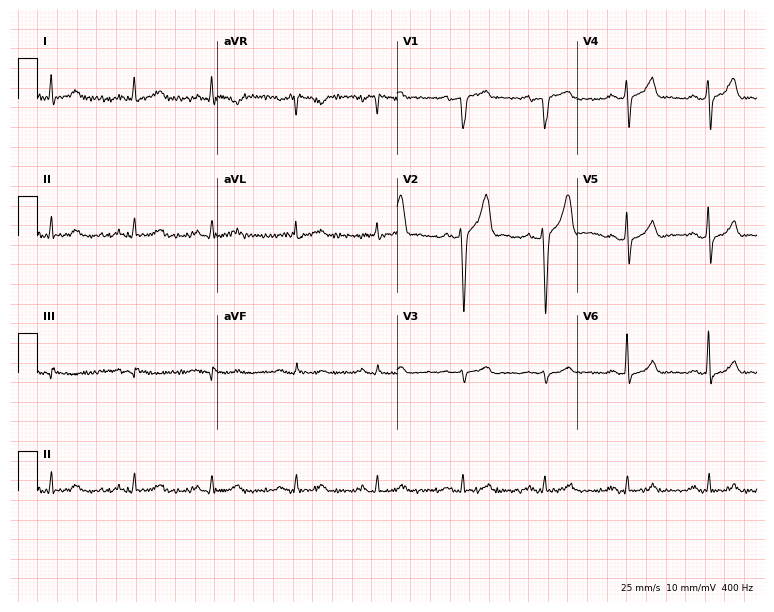
Resting 12-lead electrocardiogram (7.3-second recording at 400 Hz). Patient: a male, 75 years old. None of these six findings is recorded: first-degree AV block, right bundle branch block, left bundle branch block, sinus bradycardia, atrial fibrillation, sinus tachycardia. Findings outside these six are not listed.